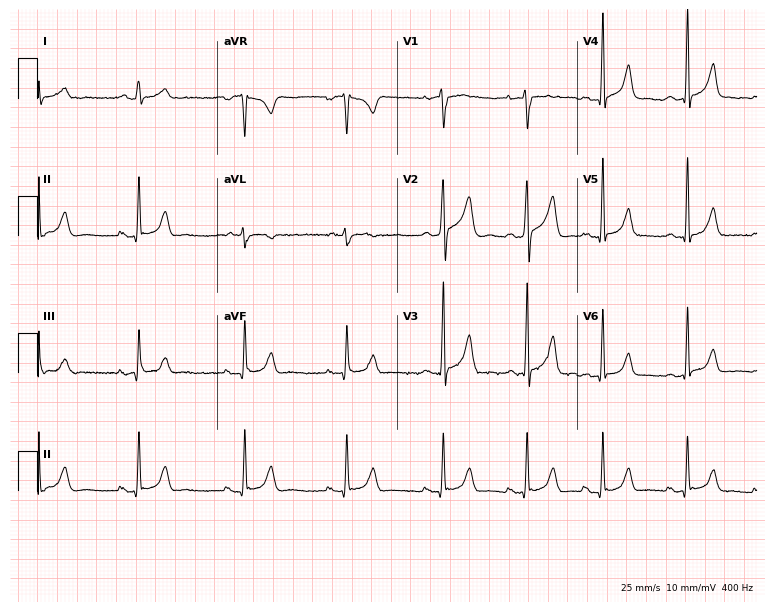
12-lead ECG (7.3-second recording at 400 Hz) from a male, 25 years old. Labelled as a normal ECG.